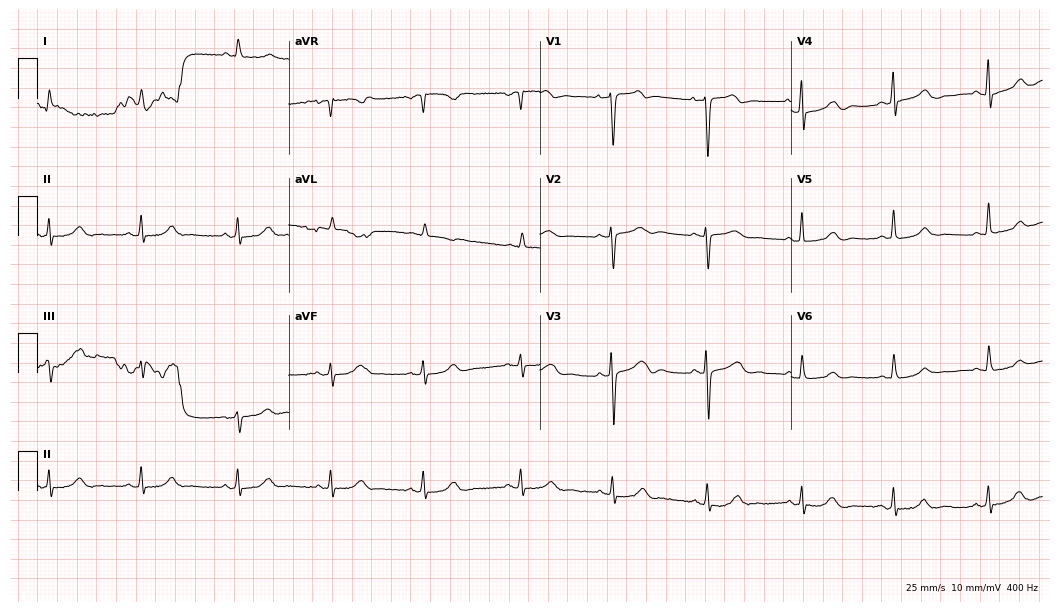
12-lead ECG (10.2-second recording at 400 Hz) from a 68-year-old man. Screened for six findings — first-degree AV block, right bundle branch block, left bundle branch block, sinus bradycardia, atrial fibrillation, sinus tachycardia — none is recorded.